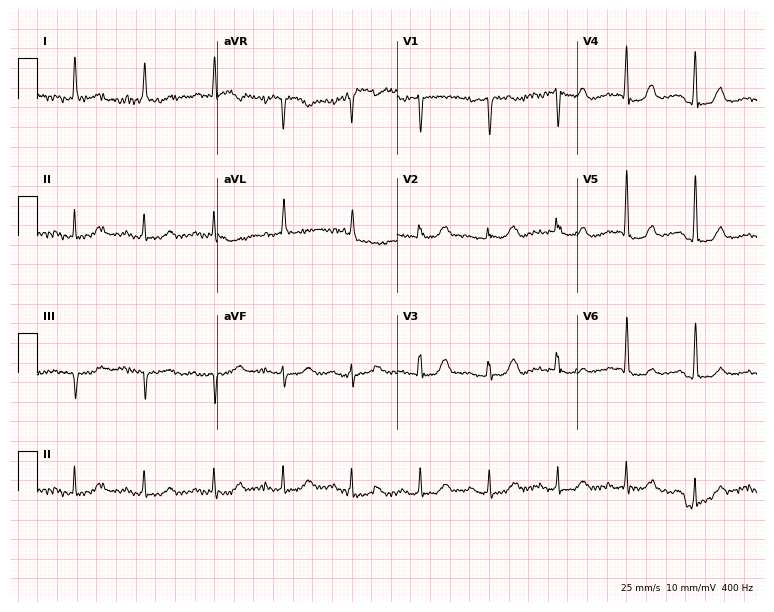
12-lead ECG from an 83-year-old female patient. Labelled as a normal ECG.